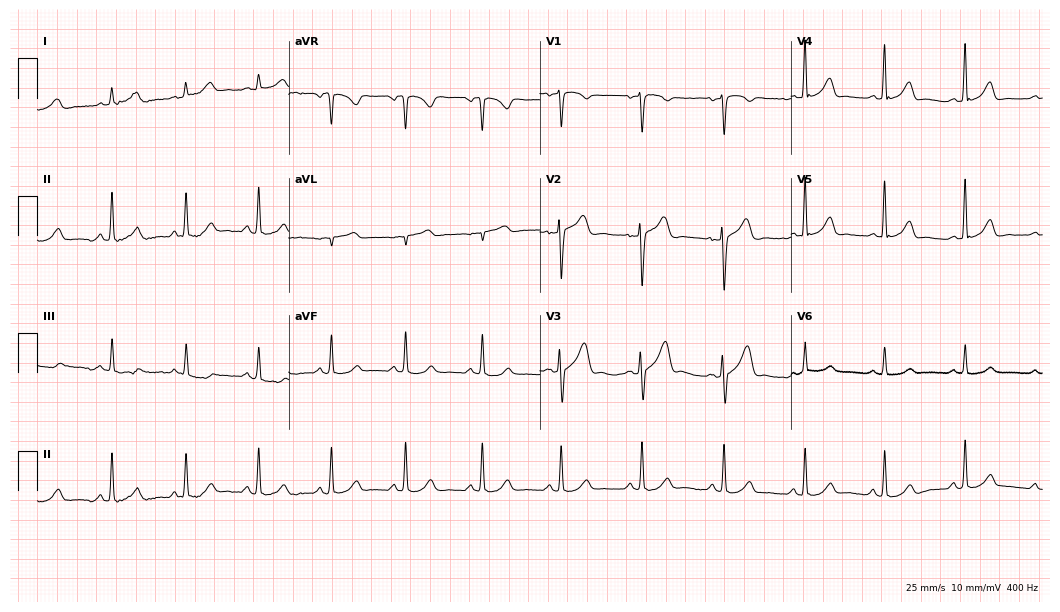
12-lead ECG from a 34-year-old male patient. Labelled as a normal ECG.